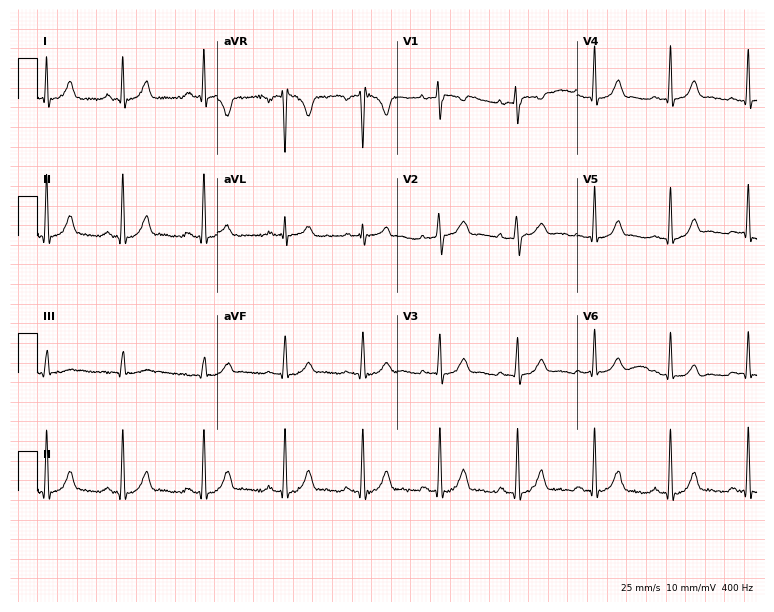
Standard 12-lead ECG recorded from a 40-year-old female (7.3-second recording at 400 Hz). Read as a normal ECG.